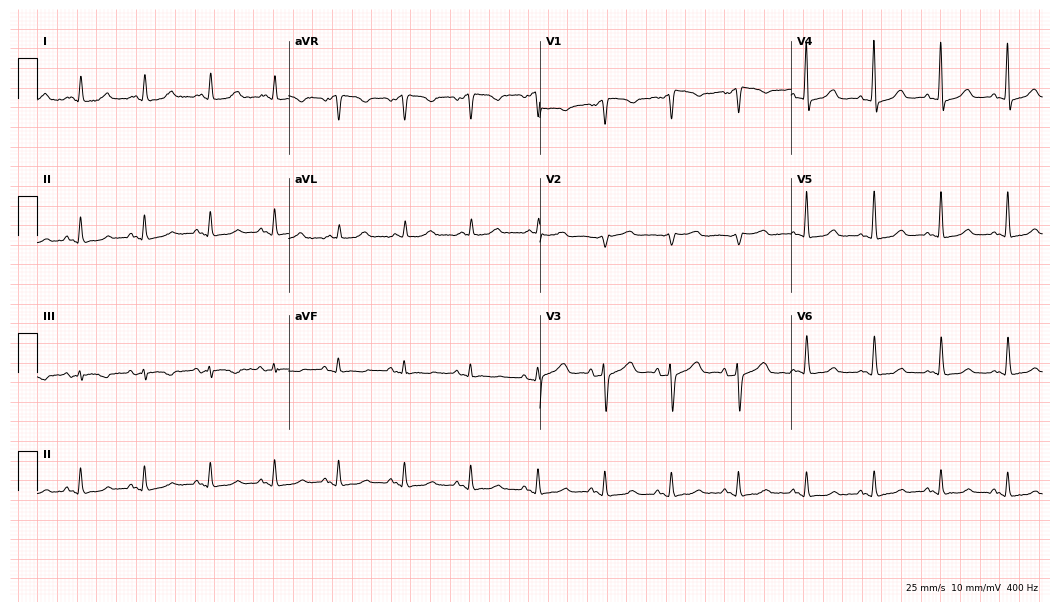
Standard 12-lead ECG recorded from a 77-year-old woman (10.2-second recording at 400 Hz). Read as a normal ECG.